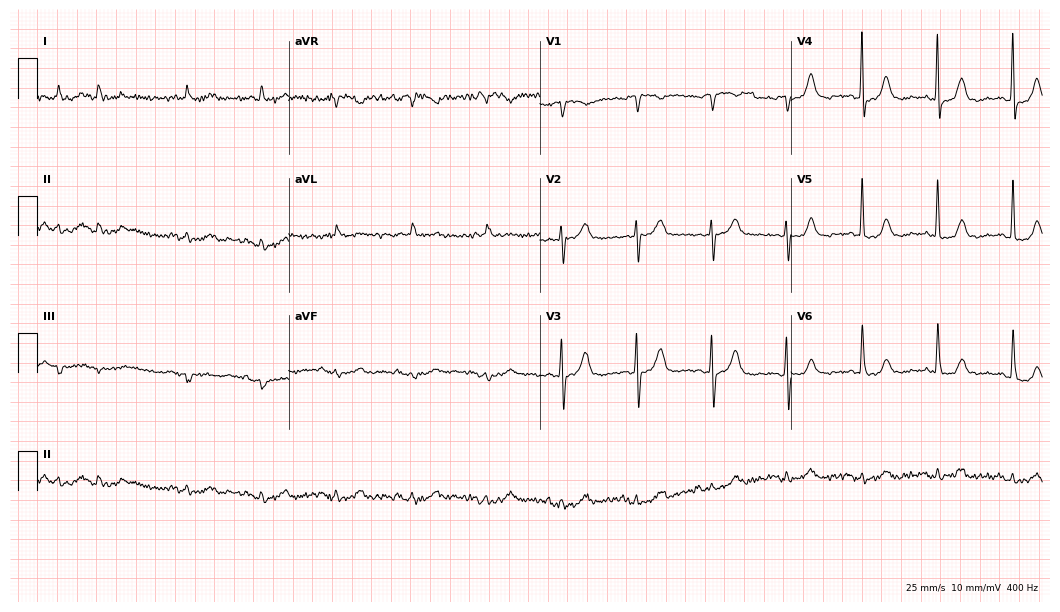
ECG (10.2-second recording at 400 Hz) — a male patient, 77 years old. Screened for six findings — first-degree AV block, right bundle branch block (RBBB), left bundle branch block (LBBB), sinus bradycardia, atrial fibrillation (AF), sinus tachycardia — none is recorded.